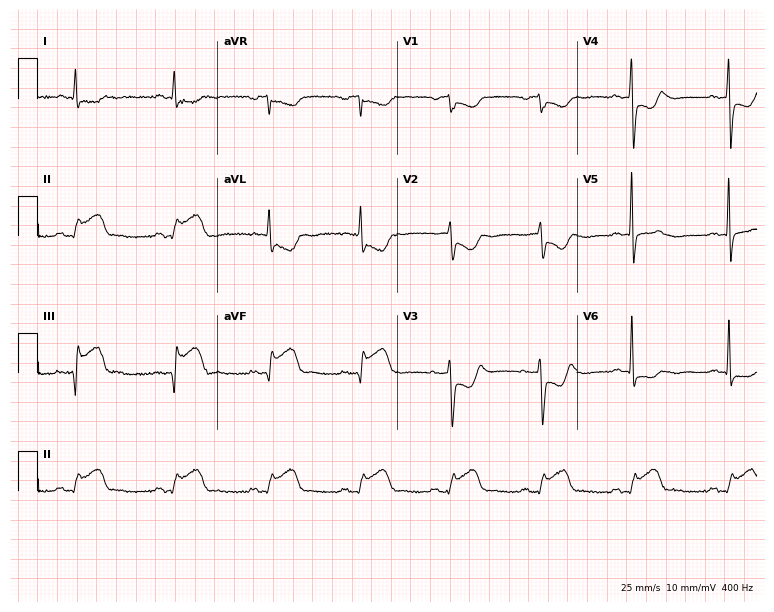
Resting 12-lead electrocardiogram. Patient: a male, 61 years old. None of these six findings is recorded: first-degree AV block, right bundle branch block (RBBB), left bundle branch block (LBBB), sinus bradycardia, atrial fibrillation (AF), sinus tachycardia. Other findings, if any, are not listed.